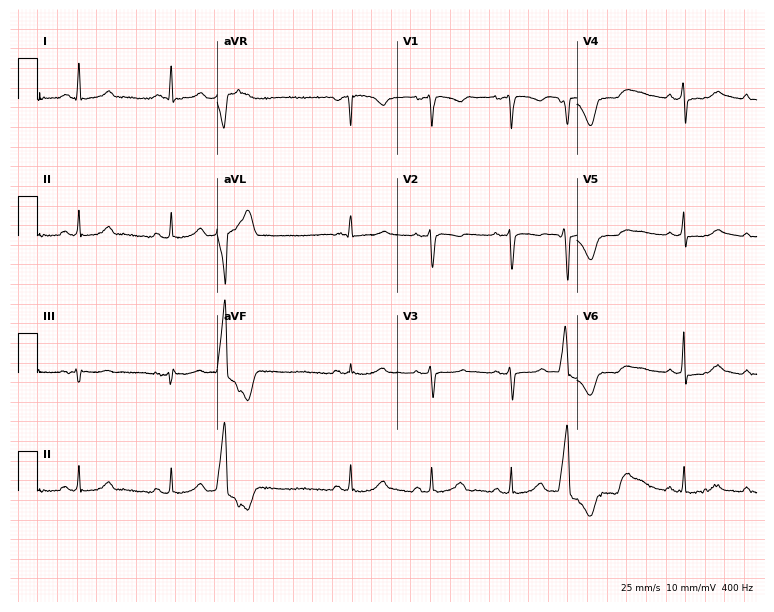
12-lead ECG from a woman, 37 years old (7.3-second recording at 400 Hz). Recorded interpretation: within normal limits.